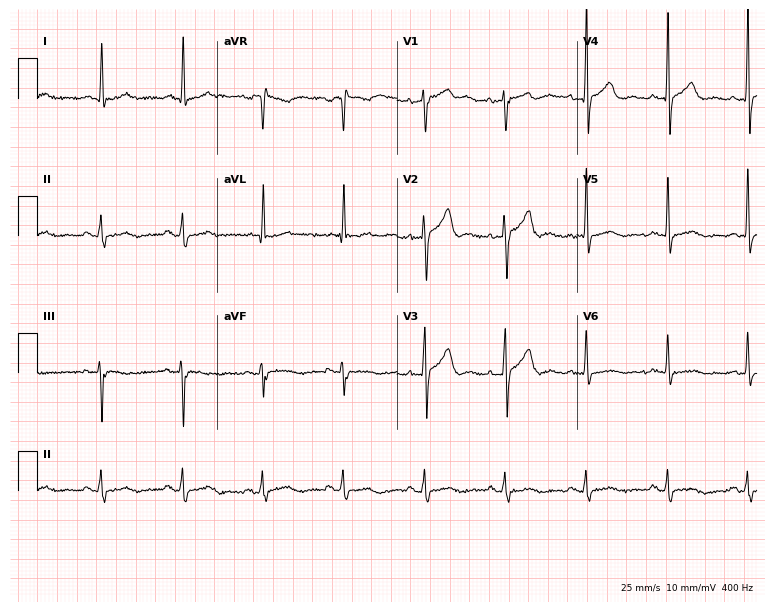
Electrocardiogram (7.3-second recording at 400 Hz), a 57-year-old man. Of the six screened findings (first-degree AV block, right bundle branch block, left bundle branch block, sinus bradycardia, atrial fibrillation, sinus tachycardia), none is recorded. Findings outside these six are not listed.